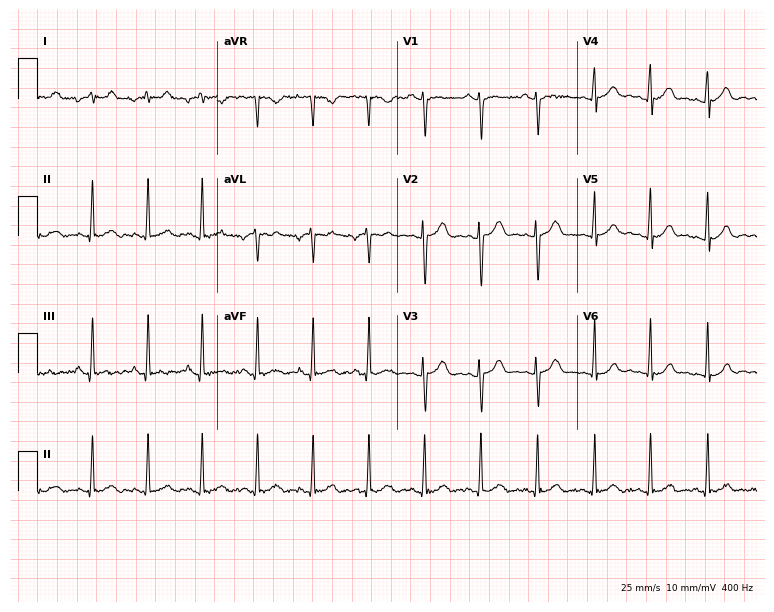
12-lead ECG (7.3-second recording at 400 Hz) from an 18-year-old woman. Screened for six findings — first-degree AV block, right bundle branch block, left bundle branch block, sinus bradycardia, atrial fibrillation, sinus tachycardia — none is recorded. Other findings, if any, are not listed.